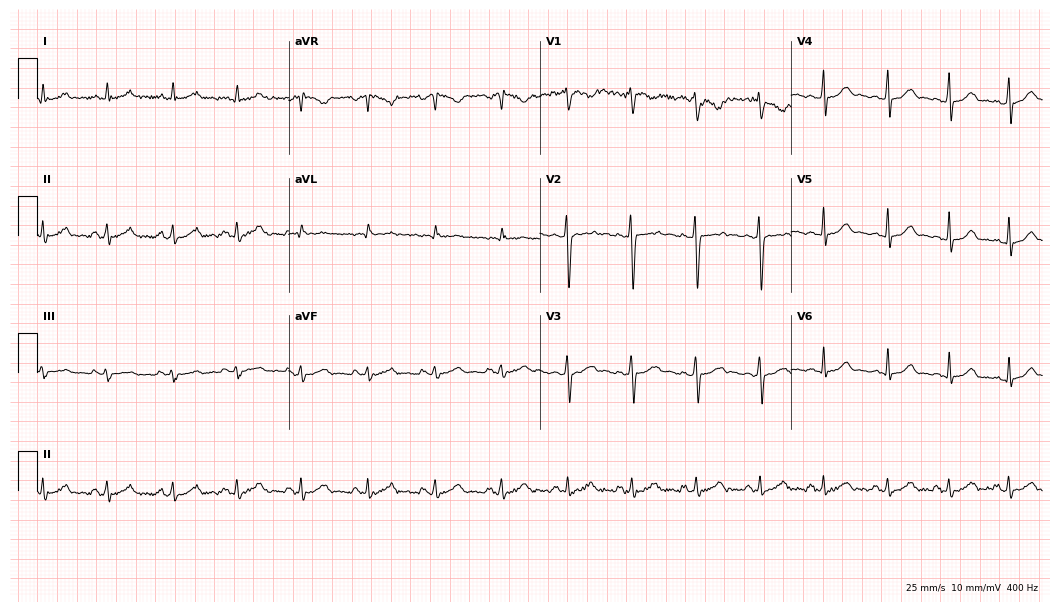
Standard 12-lead ECG recorded from a female, 17 years old (10.2-second recording at 400 Hz). None of these six findings is recorded: first-degree AV block, right bundle branch block, left bundle branch block, sinus bradycardia, atrial fibrillation, sinus tachycardia. Only these six findings were labelled.